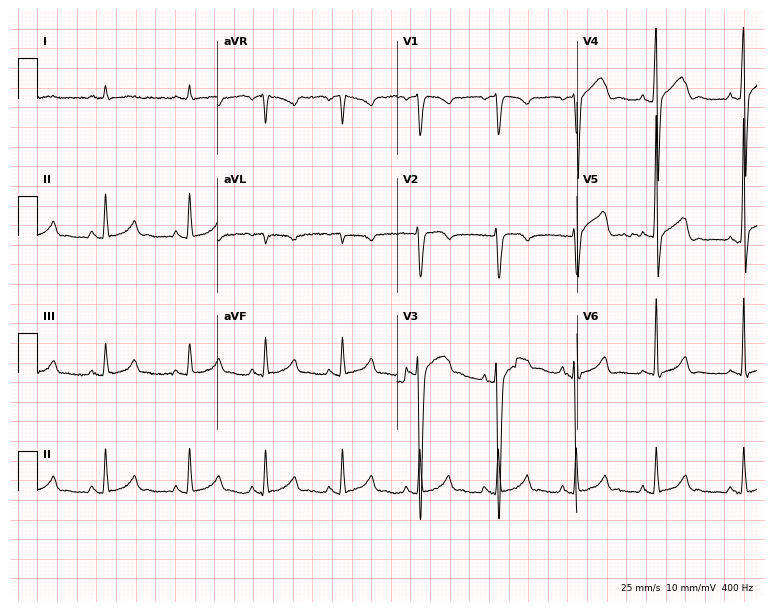
Standard 12-lead ECG recorded from a man, 43 years old. Read as a normal ECG.